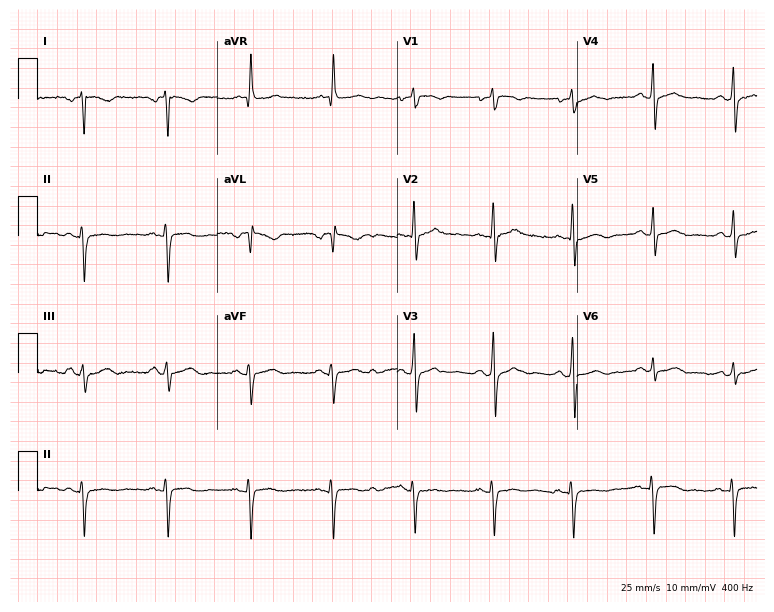
Resting 12-lead electrocardiogram (7.3-second recording at 400 Hz). Patient: a male, 59 years old. None of these six findings is recorded: first-degree AV block, right bundle branch block, left bundle branch block, sinus bradycardia, atrial fibrillation, sinus tachycardia.